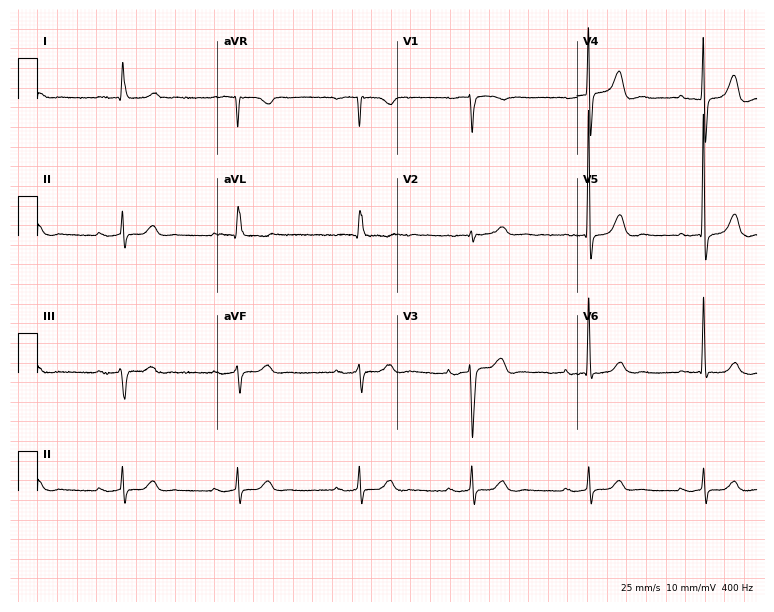
12-lead ECG from an 81-year-old woman. Findings include sinus bradycardia (a sinus rate of 50 beats per minute or less).